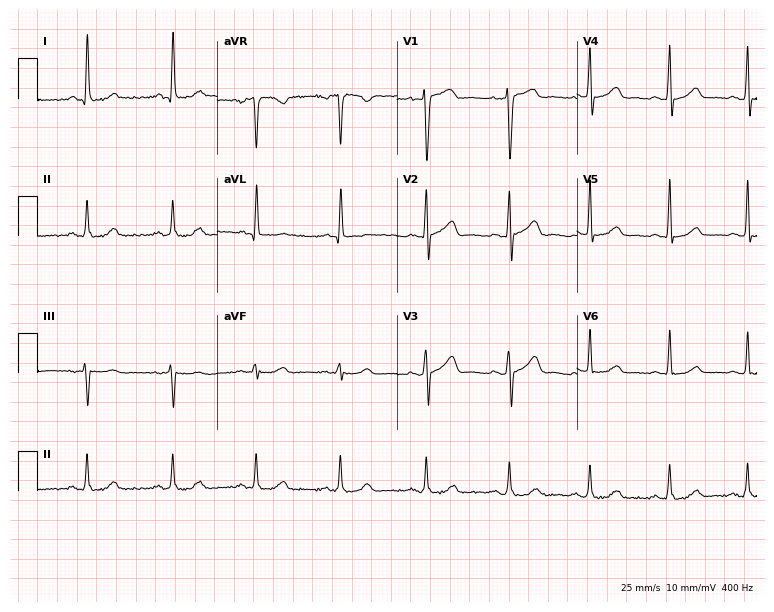
ECG (7.3-second recording at 400 Hz) — a female patient, 62 years old. Screened for six findings — first-degree AV block, right bundle branch block, left bundle branch block, sinus bradycardia, atrial fibrillation, sinus tachycardia — none is recorded. Other findings, if any, are not listed.